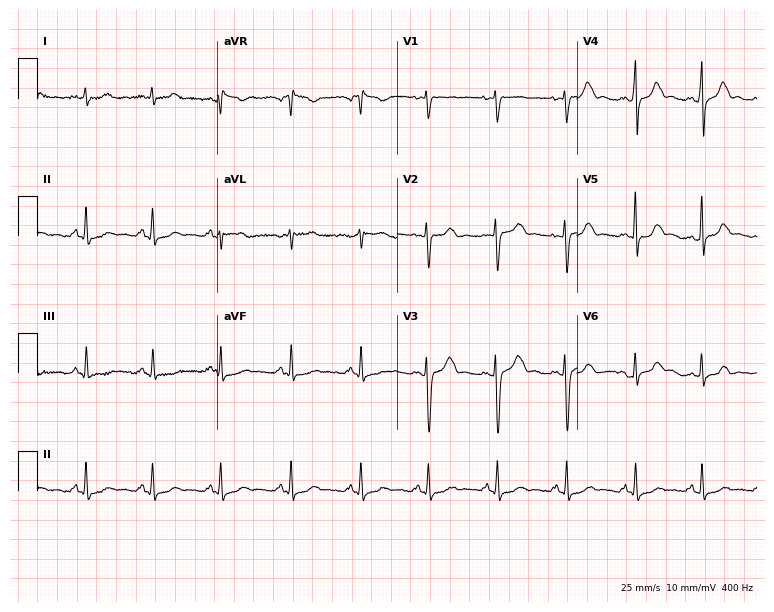
Resting 12-lead electrocardiogram (7.3-second recording at 400 Hz). Patient: a 29-year-old female. None of these six findings is recorded: first-degree AV block, right bundle branch block, left bundle branch block, sinus bradycardia, atrial fibrillation, sinus tachycardia. Findings outside these six are not listed.